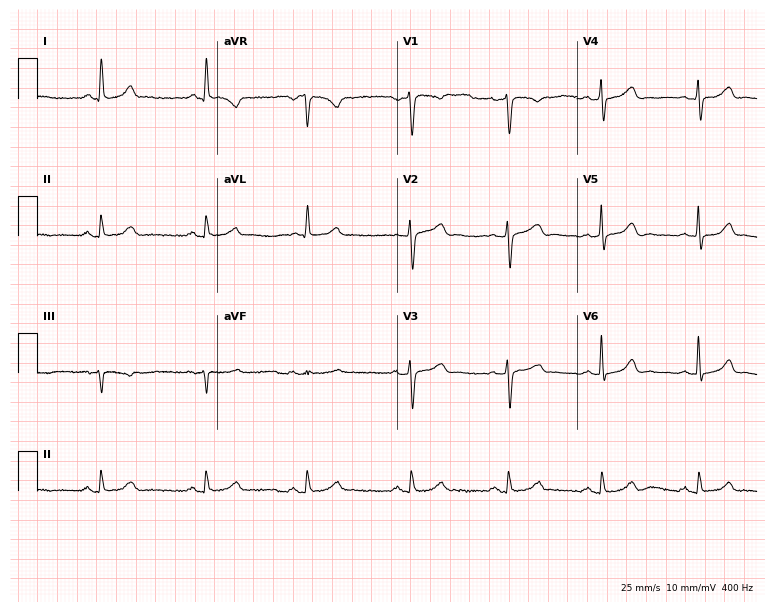
12-lead ECG from a 51-year-old female. No first-degree AV block, right bundle branch block, left bundle branch block, sinus bradycardia, atrial fibrillation or sinus tachycardia recorded for this tracing. Only these six findings were labelled.